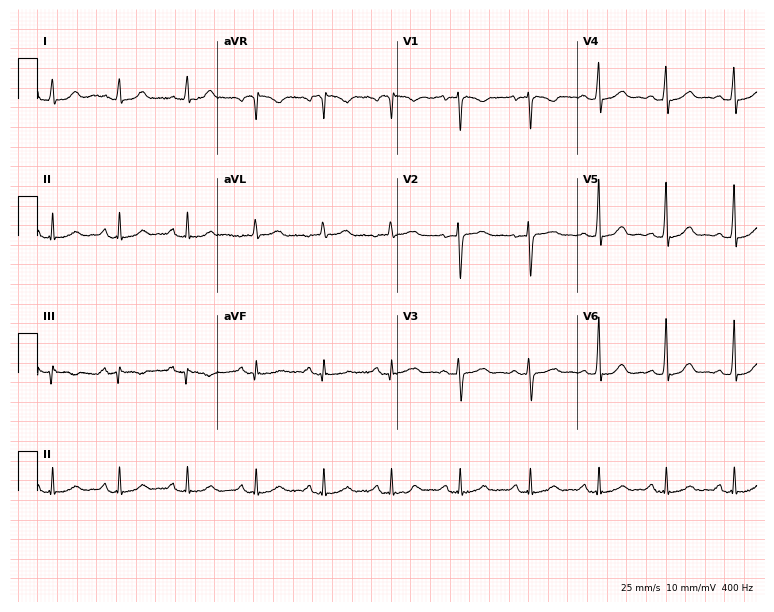
ECG (7.3-second recording at 400 Hz) — a male, 41 years old. Screened for six findings — first-degree AV block, right bundle branch block, left bundle branch block, sinus bradycardia, atrial fibrillation, sinus tachycardia — none is recorded. Findings outside these six are not listed.